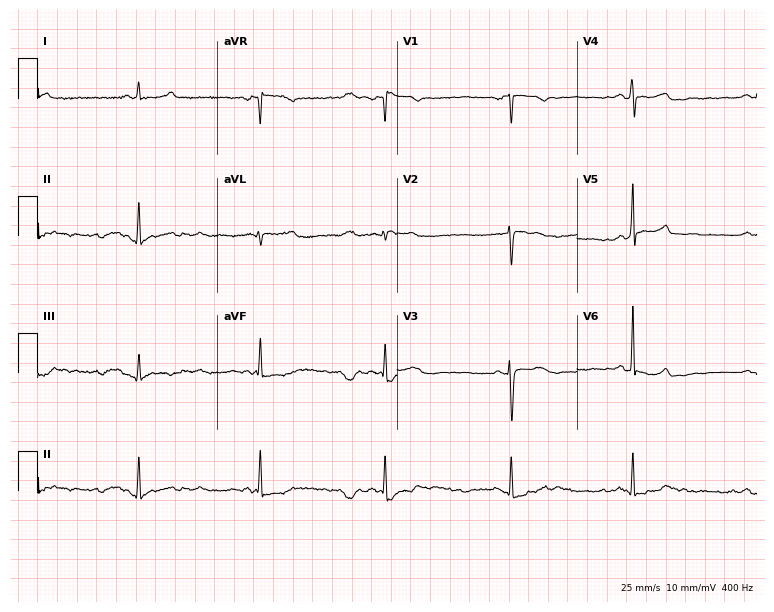
Electrocardiogram (7.3-second recording at 400 Hz), a female patient, 58 years old. Of the six screened findings (first-degree AV block, right bundle branch block (RBBB), left bundle branch block (LBBB), sinus bradycardia, atrial fibrillation (AF), sinus tachycardia), none is recorded. Other findings, if any, are not listed.